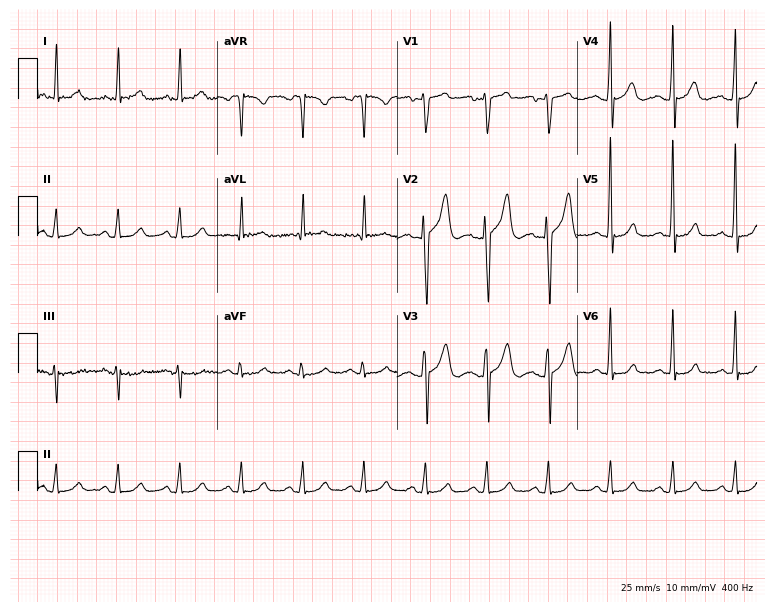
Resting 12-lead electrocardiogram (7.3-second recording at 400 Hz). Patient: a 64-year-old male. Read as a normal ECG.